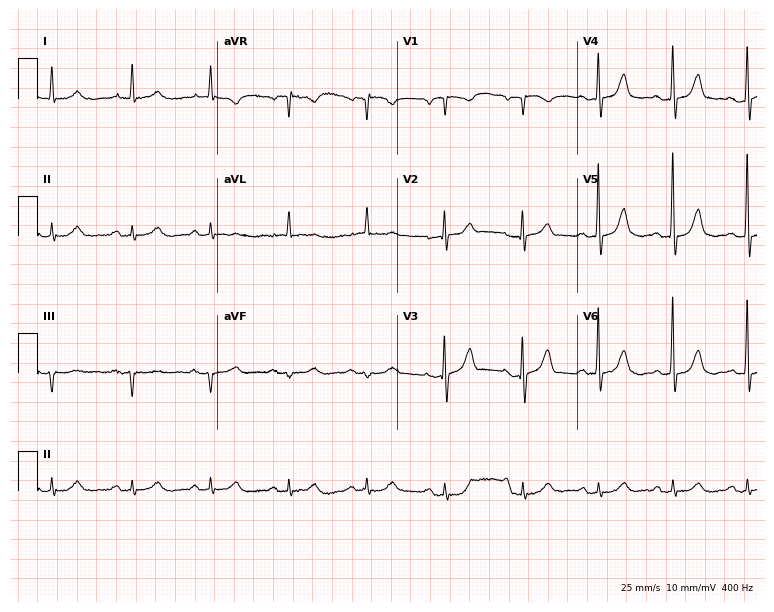
Electrocardiogram (7.3-second recording at 400 Hz), a man, 85 years old. Overall reading on record: normal ECG.